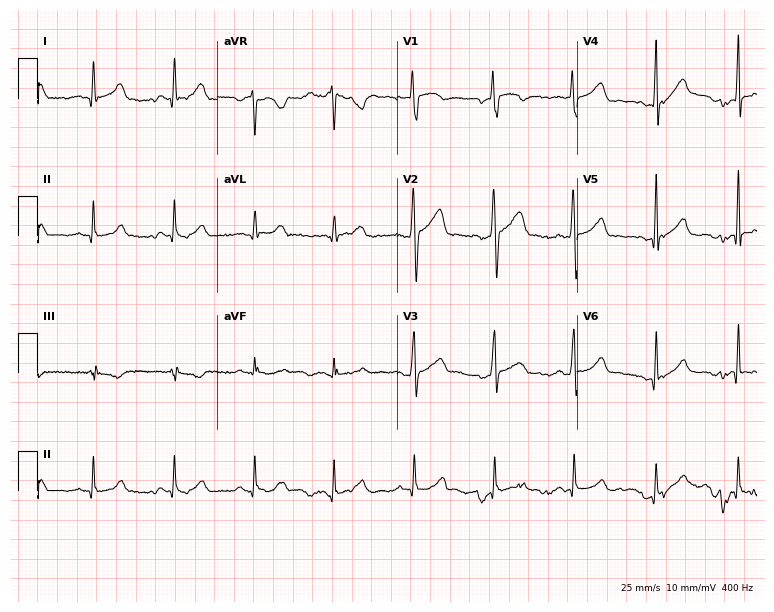
12-lead ECG from a 27-year-old male patient. Labelled as a normal ECG.